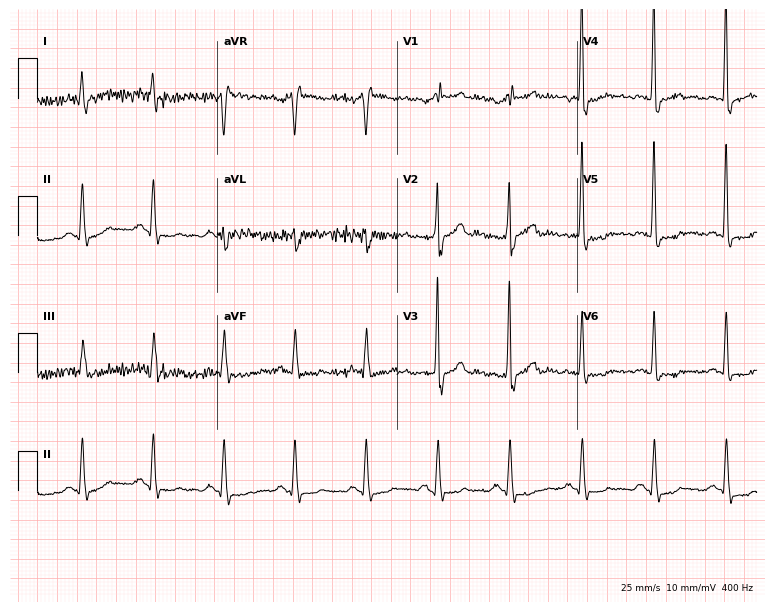
12-lead ECG from a 77-year-old male. Screened for six findings — first-degree AV block, right bundle branch block, left bundle branch block, sinus bradycardia, atrial fibrillation, sinus tachycardia — none is recorded.